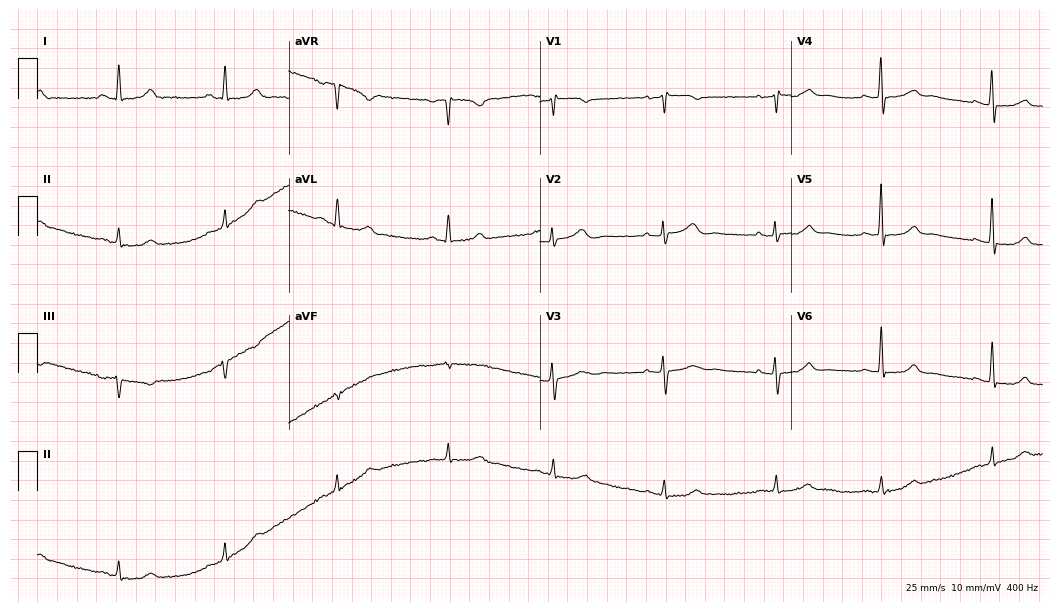
Resting 12-lead electrocardiogram. Patient: a 61-year-old woman. Read as a normal ECG.